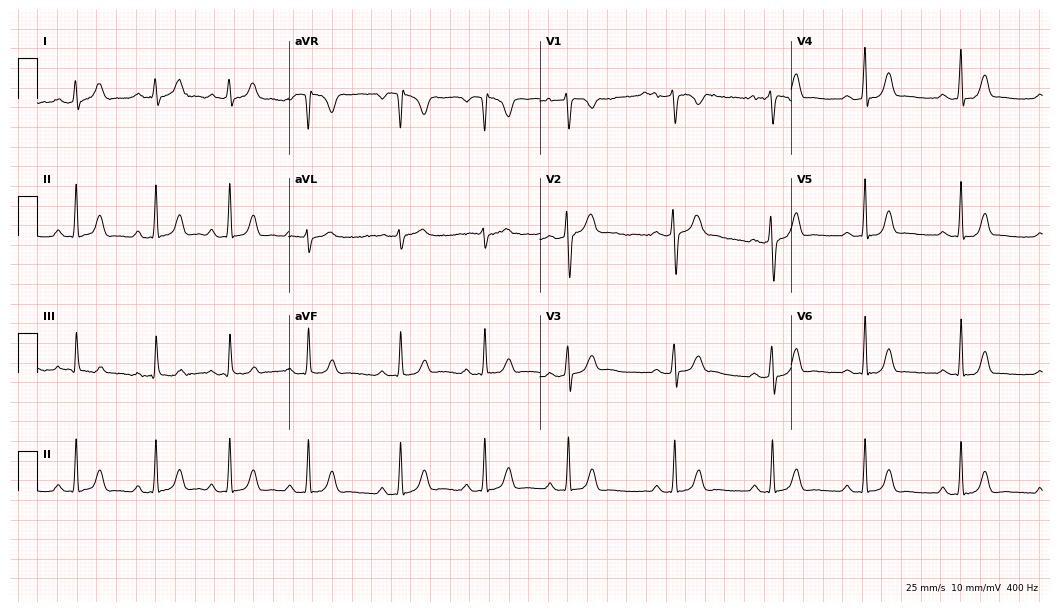
Electrocardiogram (10.2-second recording at 400 Hz), a 24-year-old female. Overall reading on record: normal ECG.